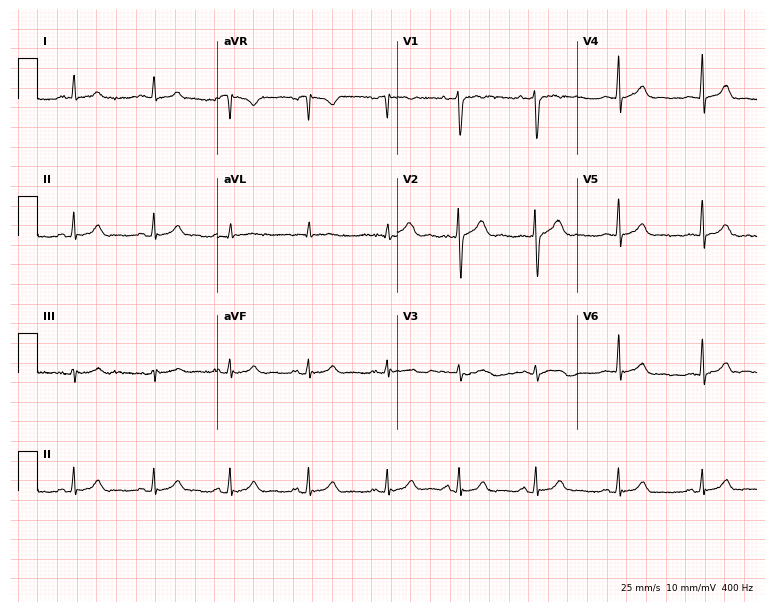
Resting 12-lead electrocardiogram (7.3-second recording at 400 Hz). Patient: a woman, 36 years old. Read as a normal ECG.